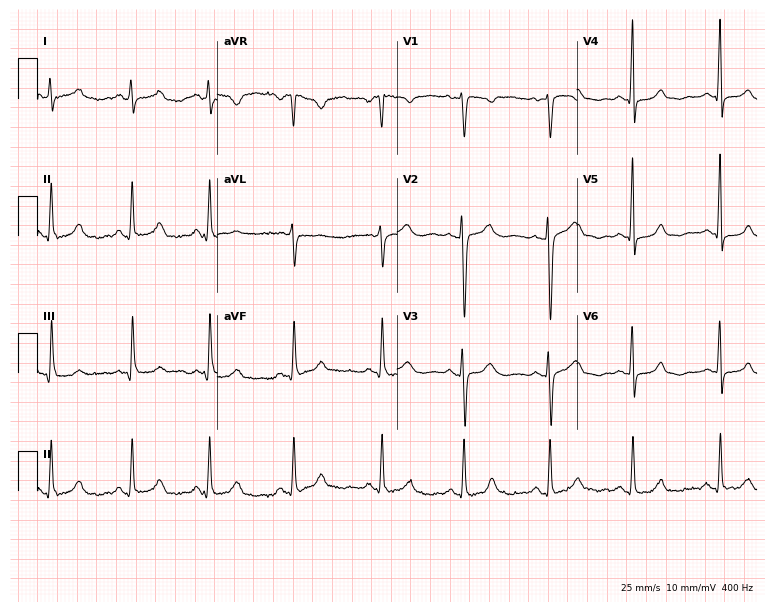
Electrocardiogram (7.3-second recording at 400 Hz), a female, 27 years old. Overall reading on record: normal ECG.